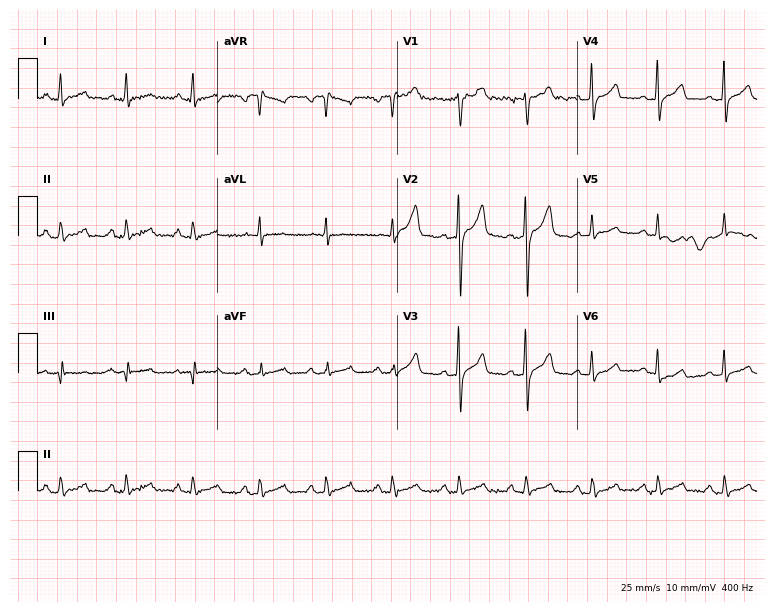
Standard 12-lead ECG recorded from a 53-year-old male patient. None of these six findings is recorded: first-degree AV block, right bundle branch block, left bundle branch block, sinus bradycardia, atrial fibrillation, sinus tachycardia.